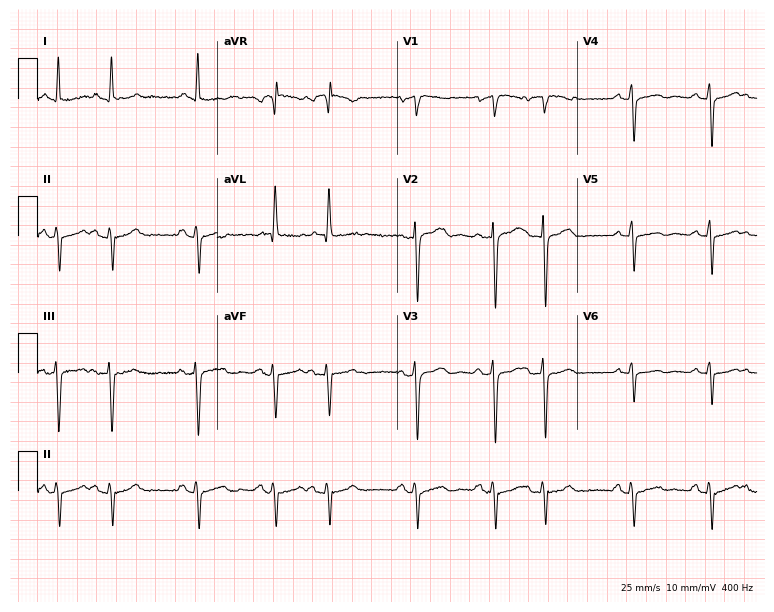
12-lead ECG (7.3-second recording at 400 Hz) from a female patient, 73 years old. Screened for six findings — first-degree AV block, right bundle branch block, left bundle branch block, sinus bradycardia, atrial fibrillation, sinus tachycardia — none is recorded.